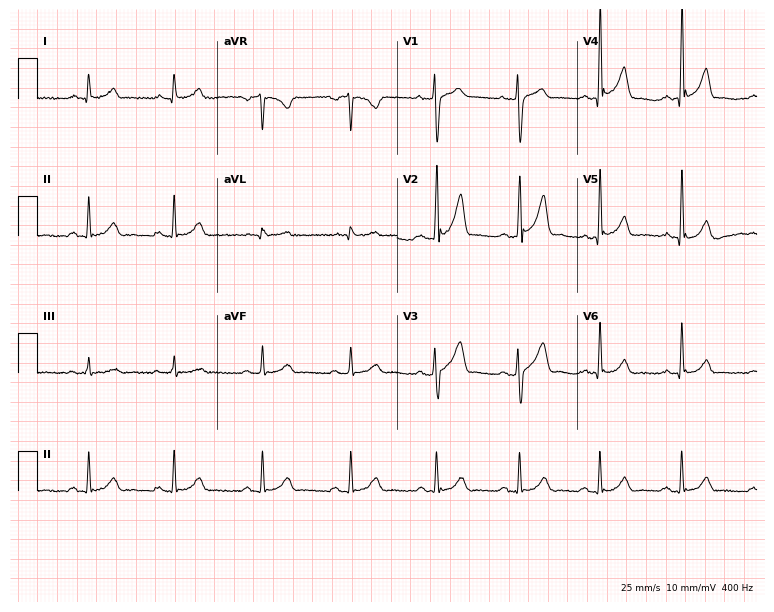
ECG — a 38-year-old man. Screened for six findings — first-degree AV block, right bundle branch block, left bundle branch block, sinus bradycardia, atrial fibrillation, sinus tachycardia — none is recorded. Findings outside these six are not listed.